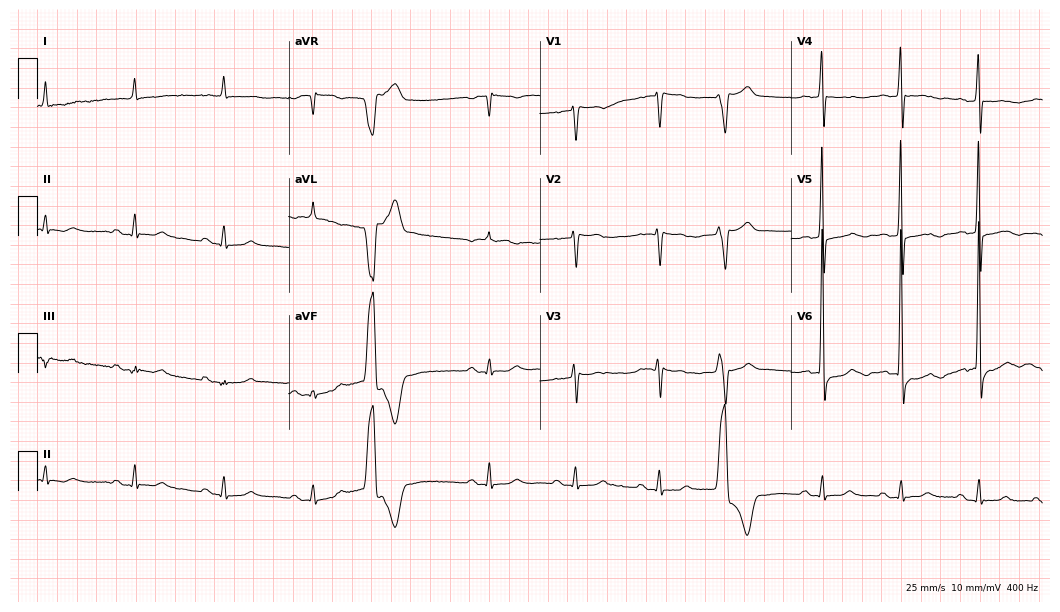
Standard 12-lead ECG recorded from a male patient, 84 years old. None of these six findings is recorded: first-degree AV block, right bundle branch block, left bundle branch block, sinus bradycardia, atrial fibrillation, sinus tachycardia.